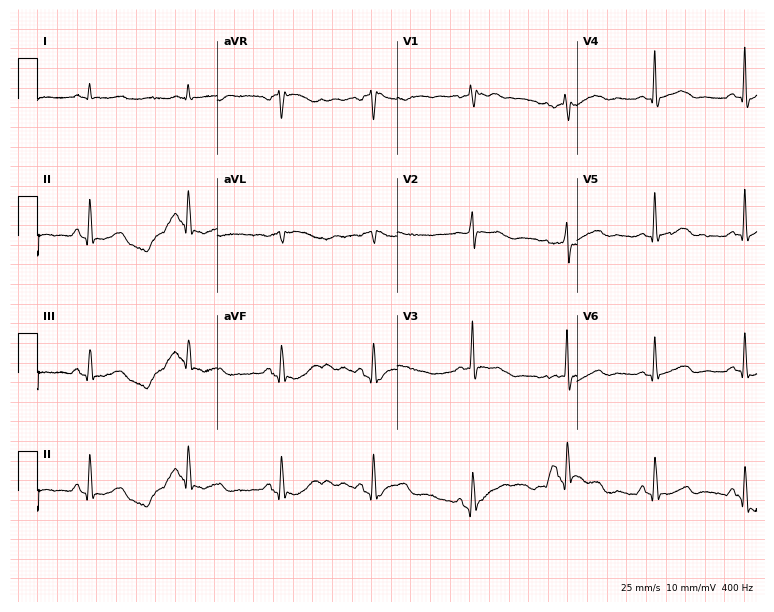
Electrocardiogram (7.3-second recording at 400 Hz), a 73-year-old male. Overall reading on record: normal ECG.